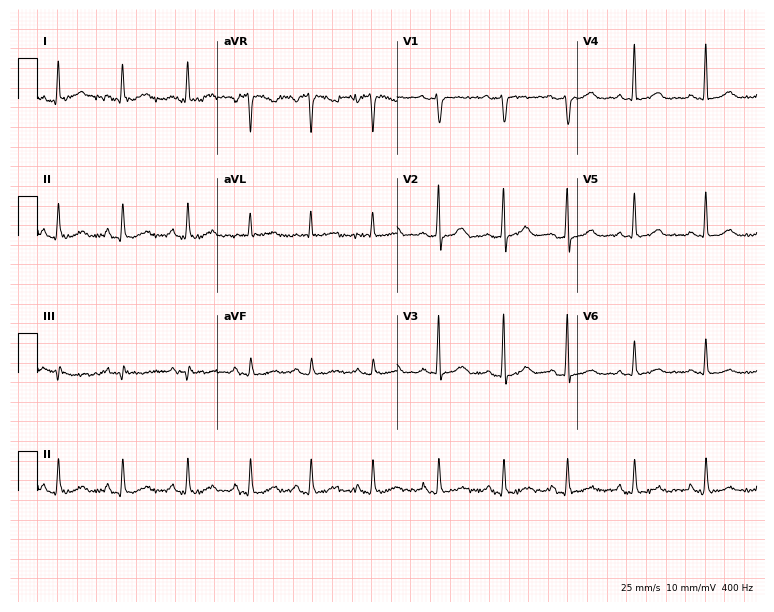
Resting 12-lead electrocardiogram. Patient: a female, 45 years old. None of these six findings is recorded: first-degree AV block, right bundle branch block (RBBB), left bundle branch block (LBBB), sinus bradycardia, atrial fibrillation (AF), sinus tachycardia.